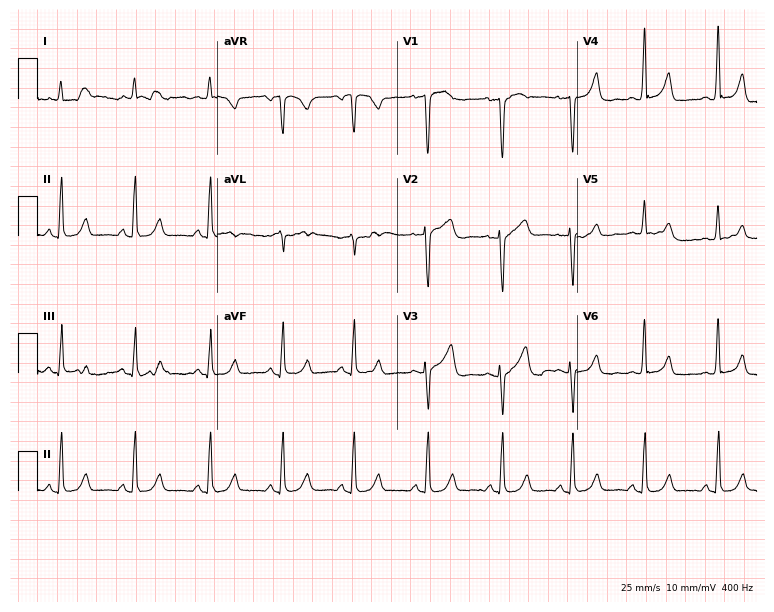
12-lead ECG from a female, 48 years old. No first-degree AV block, right bundle branch block (RBBB), left bundle branch block (LBBB), sinus bradycardia, atrial fibrillation (AF) or sinus tachycardia recorded for this tracing. Other findings, if any, are not listed.